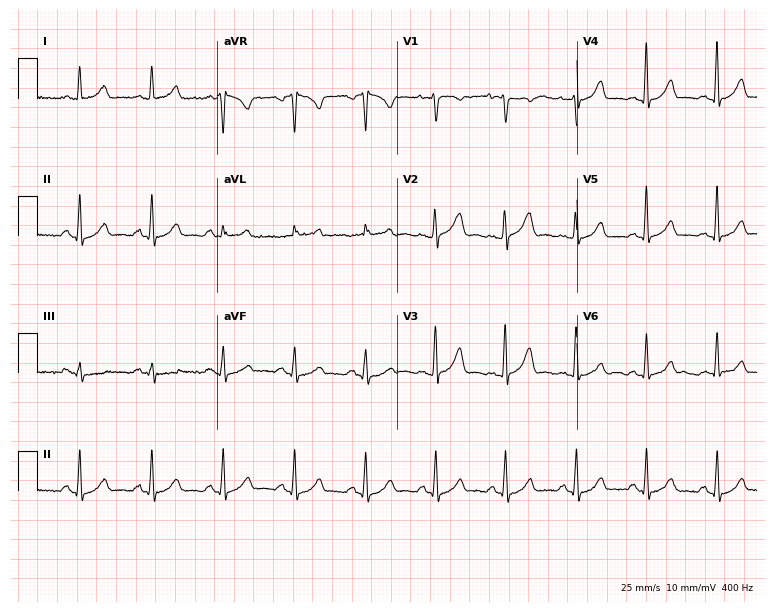
ECG (7.3-second recording at 400 Hz) — a 56-year-old woman. Screened for six findings — first-degree AV block, right bundle branch block, left bundle branch block, sinus bradycardia, atrial fibrillation, sinus tachycardia — none is recorded.